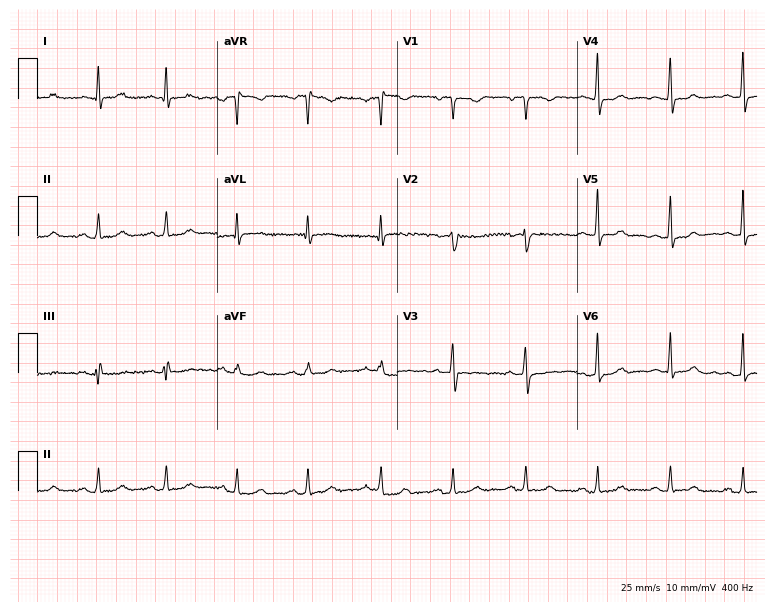
ECG — a 63-year-old woman. Screened for six findings — first-degree AV block, right bundle branch block, left bundle branch block, sinus bradycardia, atrial fibrillation, sinus tachycardia — none is recorded.